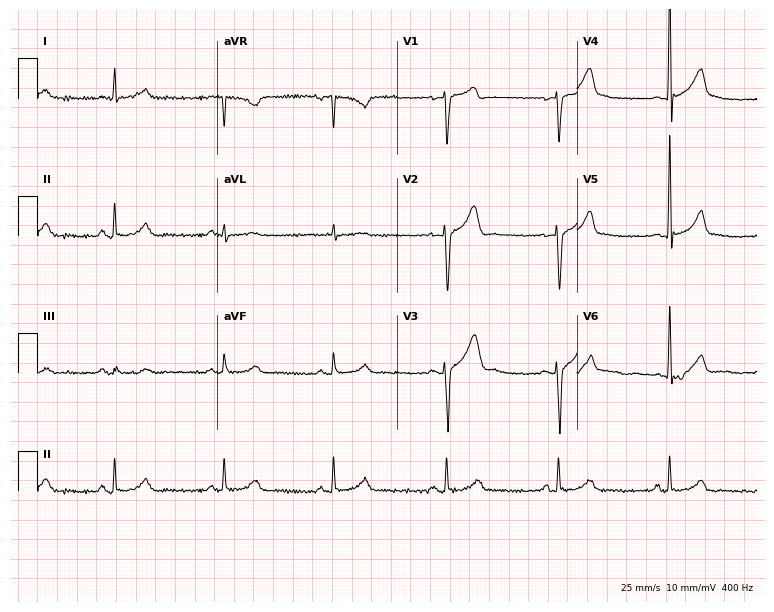
12-lead ECG from a 41-year-old man (7.3-second recording at 400 Hz). No first-degree AV block, right bundle branch block (RBBB), left bundle branch block (LBBB), sinus bradycardia, atrial fibrillation (AF) or sinus tachycardia recorded for this tracing. Other findings, if any, are not listed.